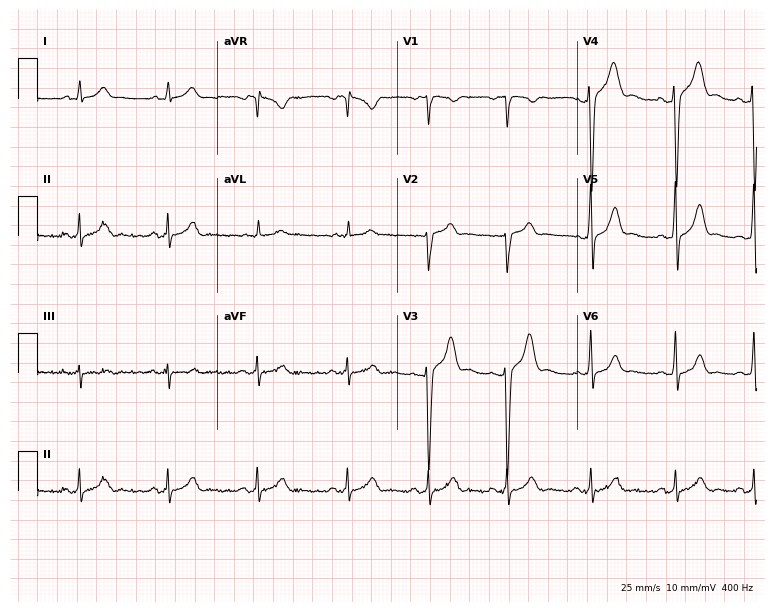
12-lead ECG (7.3-second recording at 400 Hz) from a 29-year-old man. Labelled as a normal ECG.